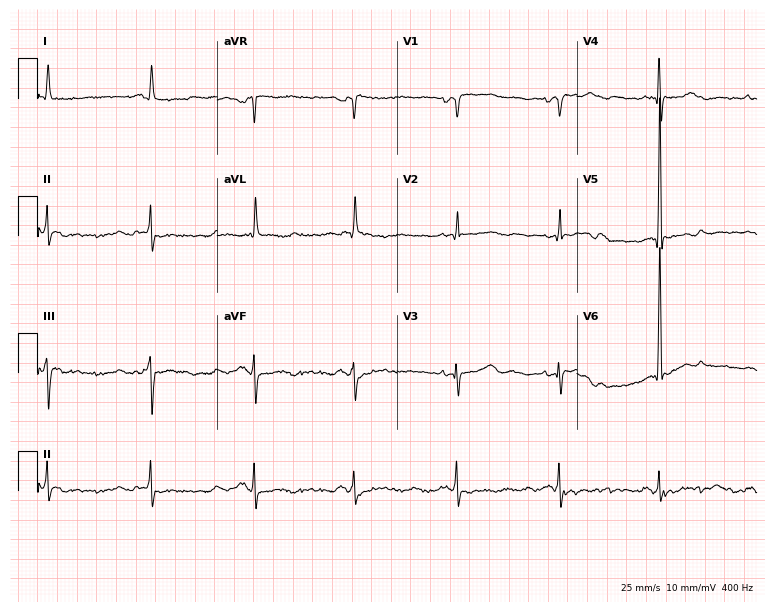
Resting 12-lead electrocardiogram (7.3-second recording at 400 Hz). Patient: a female, 79 years old. Read as a normal ECG.